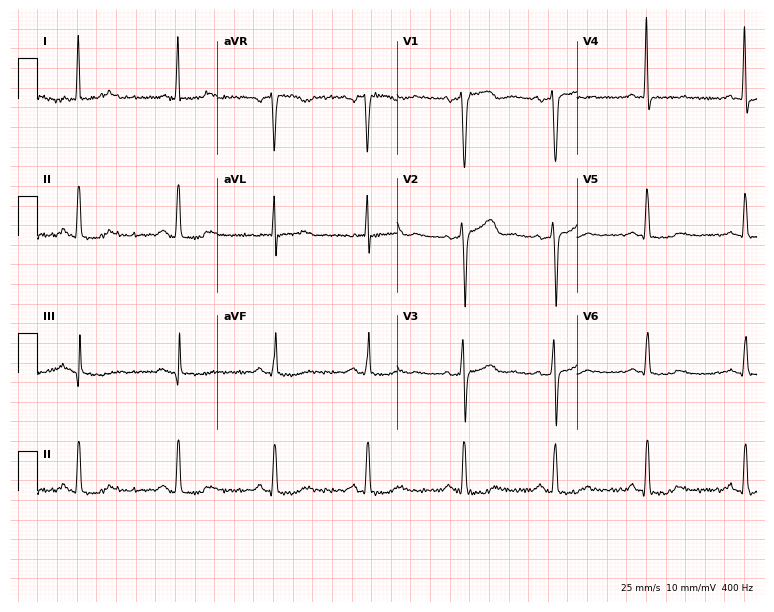
12-lead ECG from a 62-year-old female patient. No first-degree AV block, right bundle branch block, left bundle branch block, sinus bradycardia, atrial fibrillation or sinus tachycardia recorded for this tracing. Findings outside these six are not listed.